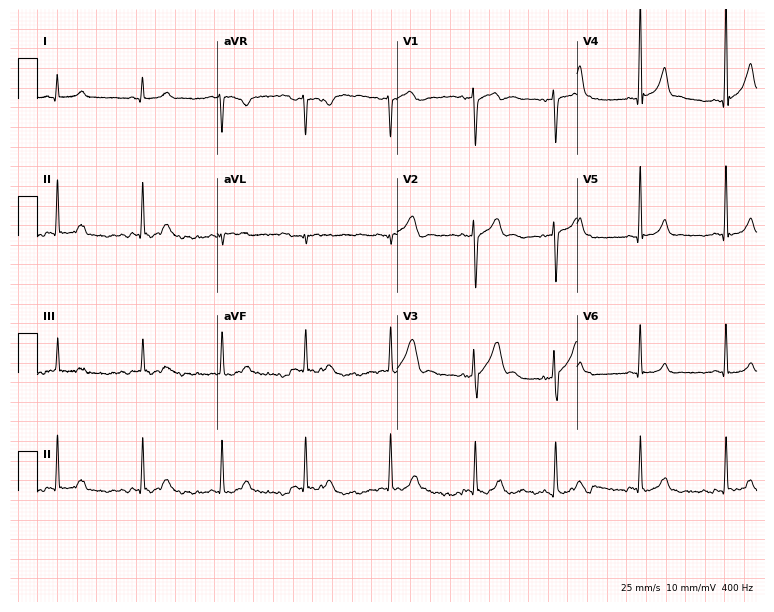
Electrocardiogram (7.3-second recording at 400 Hz), an 18-year-old man. Of the six screened findings (first-degree AV block, right bundle branch block, left bundle branch block, sinus bradycardia, atrial fibrillation, sinus tachycardia), none is recorded. Findings outside these six are not listed.